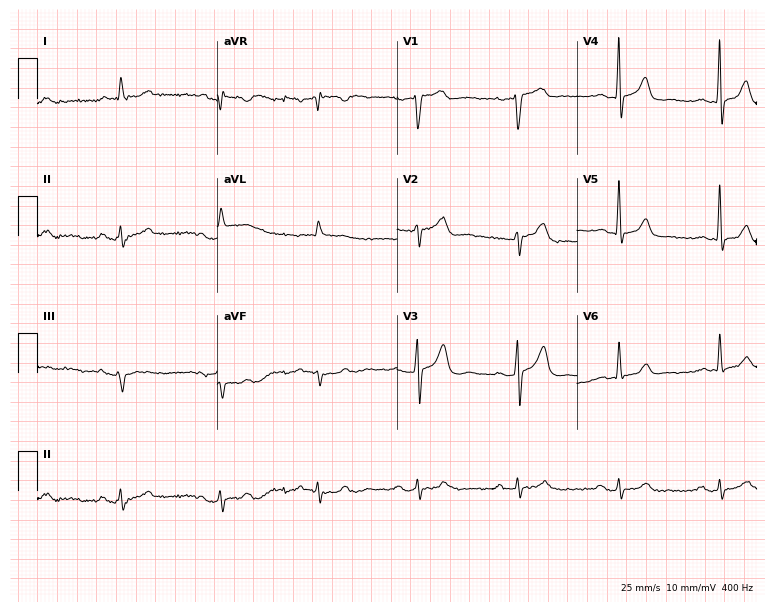
Resting 12-lead electrocardiogram (7.3-second recording at 400 Hz). Patient: an 81-year-old male. None of these six findings is recorded: first-degree AV block, right bundle branch block (RBBB), left bundle branch block (LBBB), sinus bradycardia, atrial fibrillation (AF), sinus tachycardia.